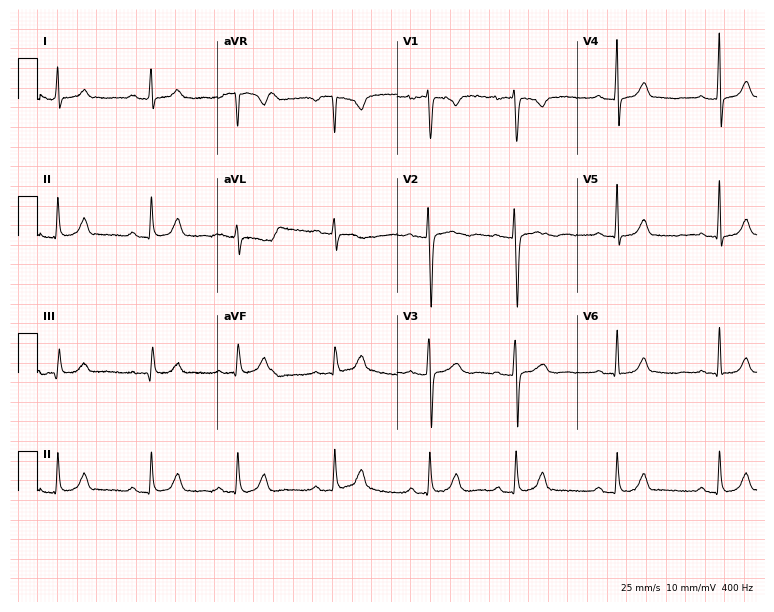
ECG (7.3-second recording at 400 Hz) — a female, 21 years old. Screened for six findings — first-degree AV block, right bundle branch block, left bundle branch block, sinus bradycardia, atrial fibrillation, sinus tachycardia — none is recorded.